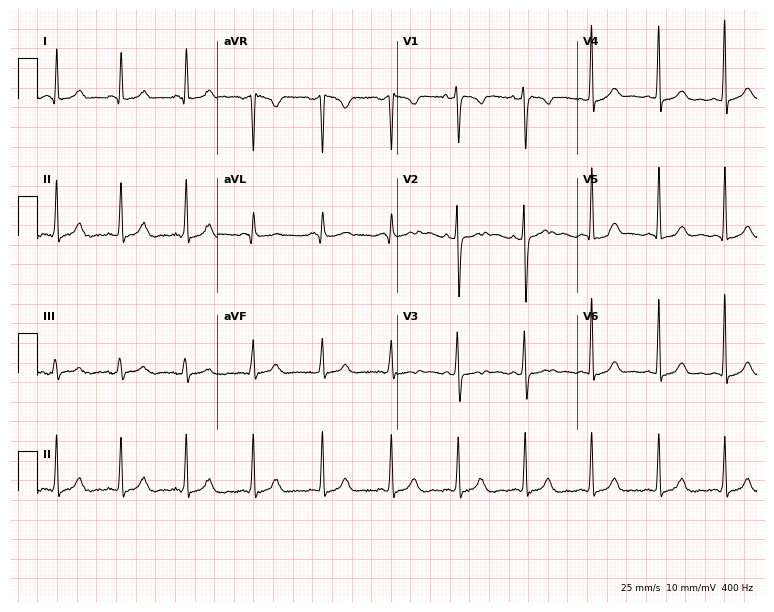
Standard 12-lead ECG recorded from a woman, 24 years old (7.3-second recording at 400 Hz). None of these six findings is recorded: first-degree AV block, right bundle branch block, left bundle branch block, sinus bradycardia, atrial fibrillation, sinus tachycardia.